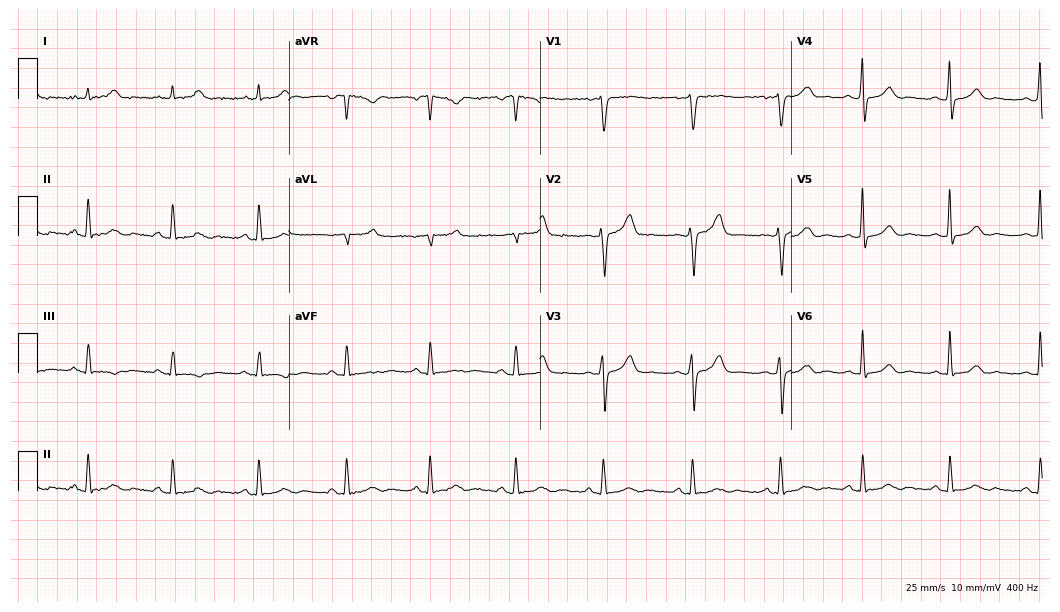
Electrocardiogram, a 35-year-old woman. Of the six screened findings (first-degree AV block, right bundle branch block, left bundle branch block, sinus bradycardia, atrial fibrillation, sinus tachycardia), none is recorded.